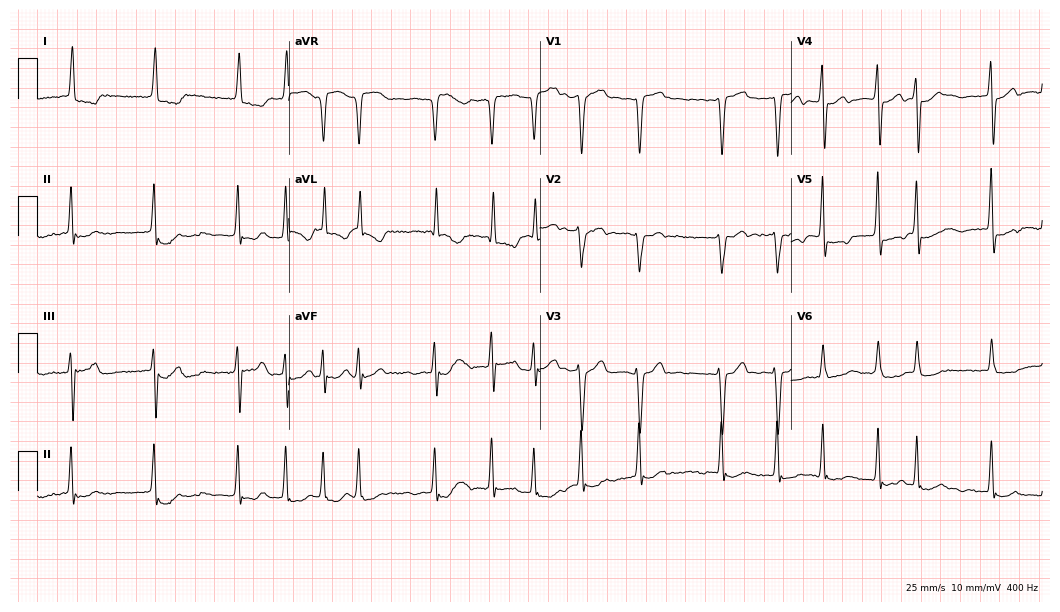
Resting 12-lead electrocardiogram. Patient: a female, 85 years old. The tracing shows atrial fibrillation (AF).